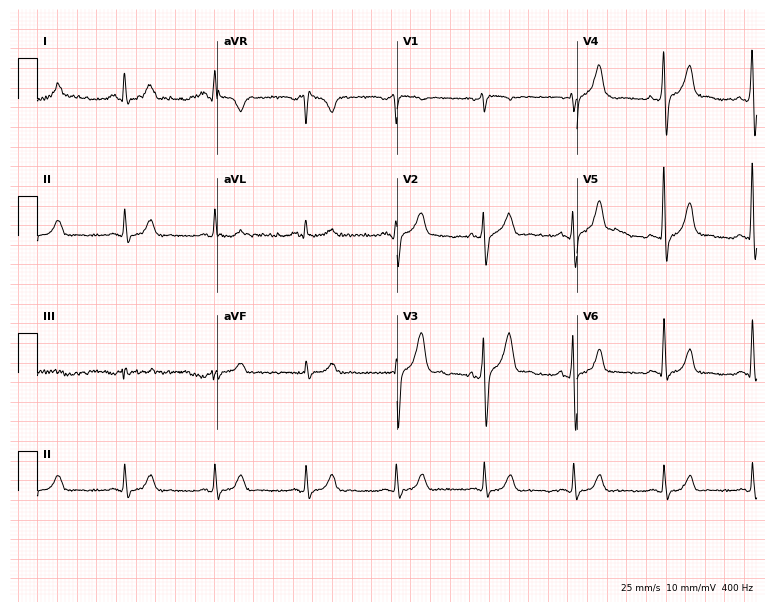
Standard 12-lead ECG recorded from a 56-year-old woman. Read as a normal ECG.